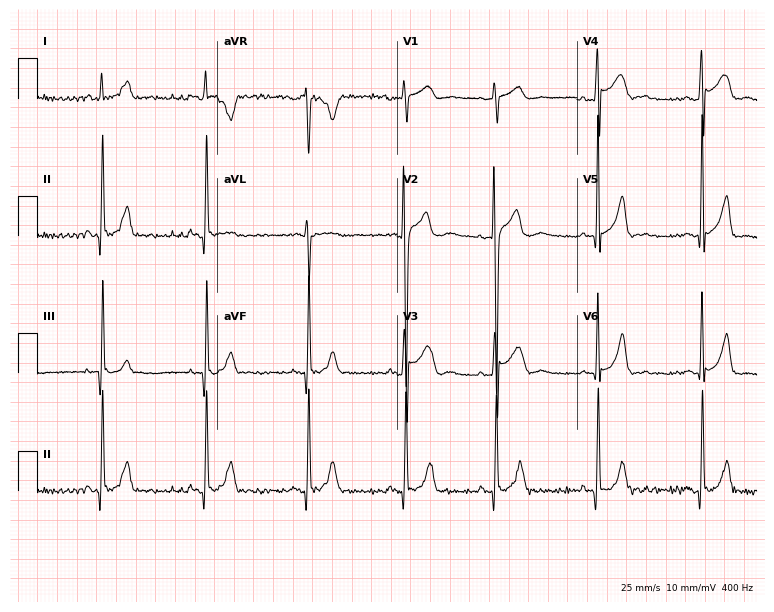
Resting 12-lead electrocardiogram (7.3-second recording at 400 Hz). Patient: a 17-year-old male. Read as a normal ECG.